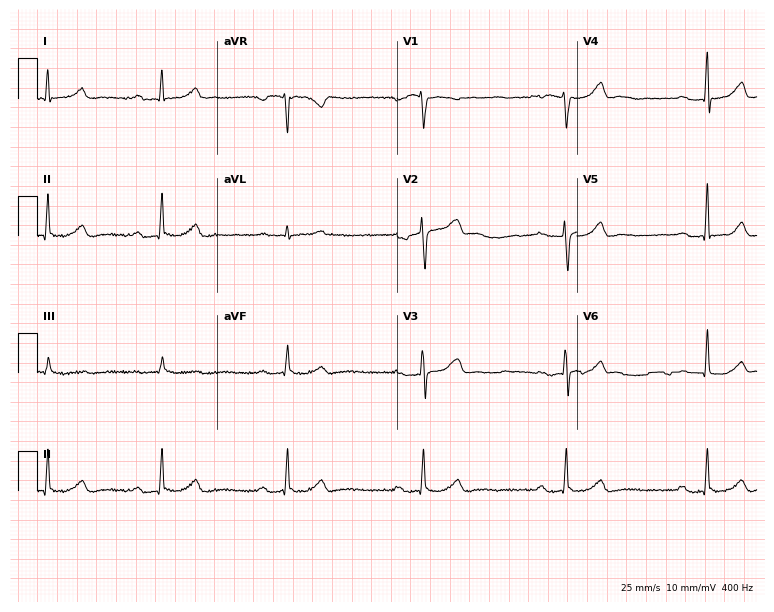
Resting 12-lead electrocardiogram (7.3-second recording at 400 Hz). Patient: a female, 39 years old. The tracing shows first-degree AV block, sinus bradycardia (a sinus rate of 50 beats per minute or less).